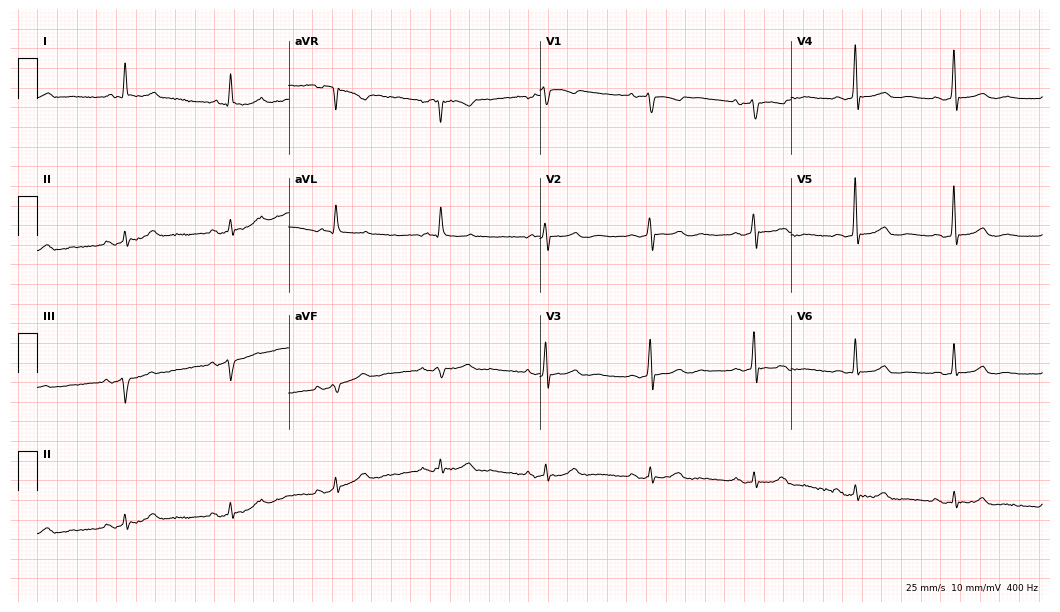
12-lead ECG from an 82-year-old female patient. Screened for six findings — first-degree AV block, right bundle branch block, left bundle branch block, sinus bradycardia, atrial fibrillation, sinus tachycardia — none is recorded.